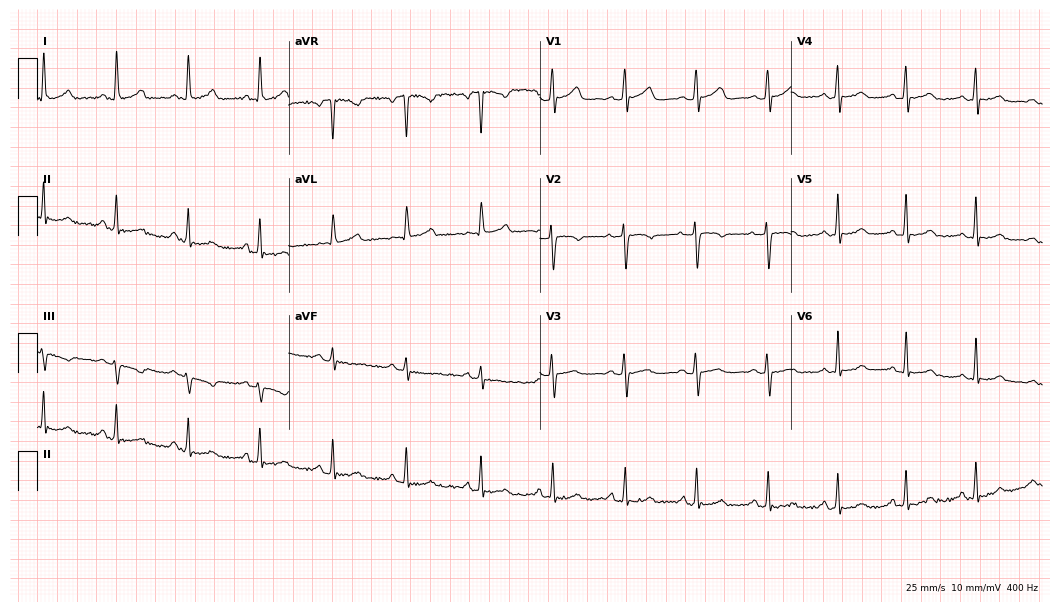
12-lead ECG (10.2-second recording at 400 Hz) from a 31-year-old woman. Screened for six findings — first-degree AV block, right bundle branch block, left bundle branch block, sinus bradycardia, atrial fibrillation, sinus tachycardia — none is recorded.